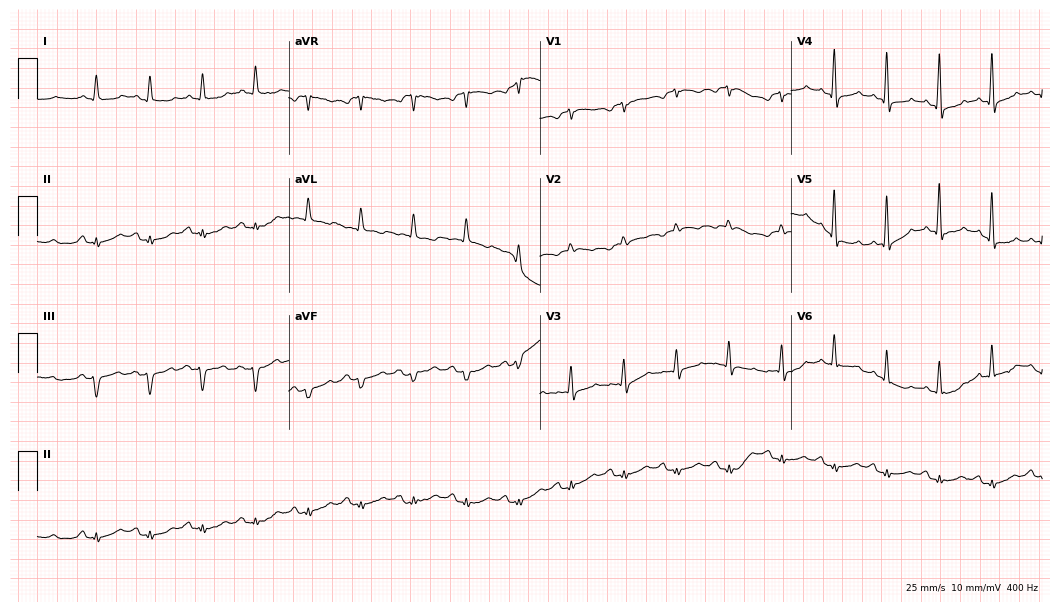
ECG — a male patient, 84 years old. Findings include sinus tachycardia (a sinus rate of 100 beats per minute or more).